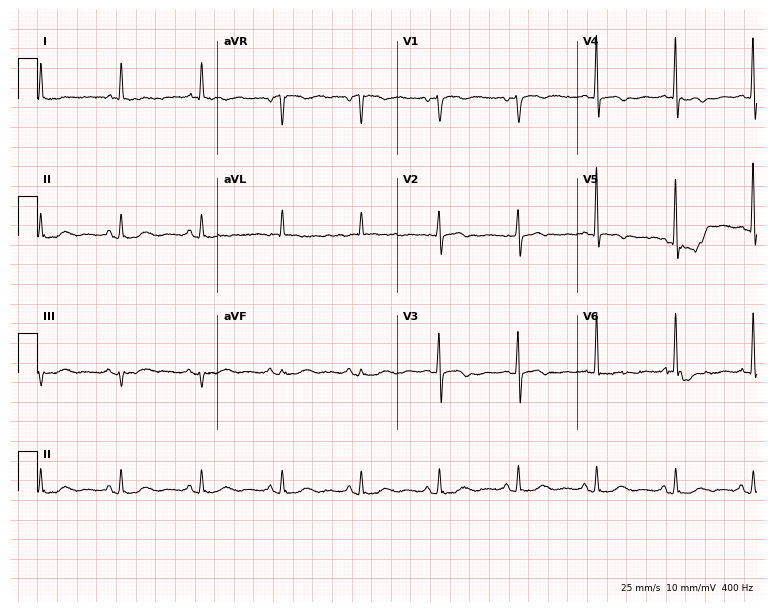
Resting 12-lead electrocardiogram. Patient: a 71-year-old woman. None of these six findings is recorded: first-degree AV block, right bundle branch block, left bundle branch block, sinus bradycardia, atrial fibrillation, sinus tachycardia.